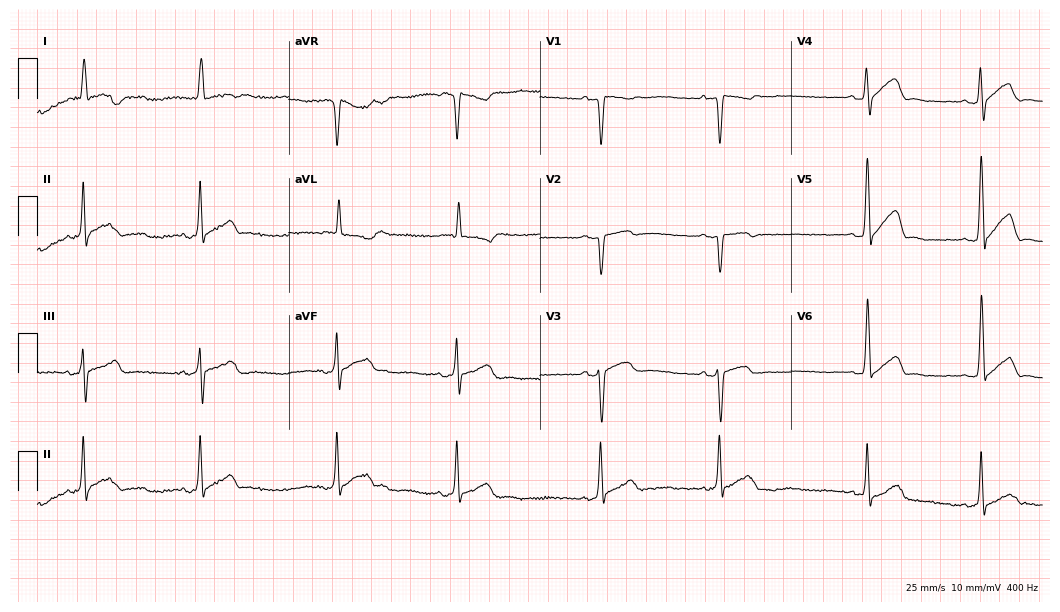
ECG — a woman, 85 years old. Screened for six findings — first-degree AV block, right bundle branch block (RBBB), left bundle branch block (LBBB), sinus bradycardia, atrial fibrillation (AF), sinus tachycardia — none is recorded.